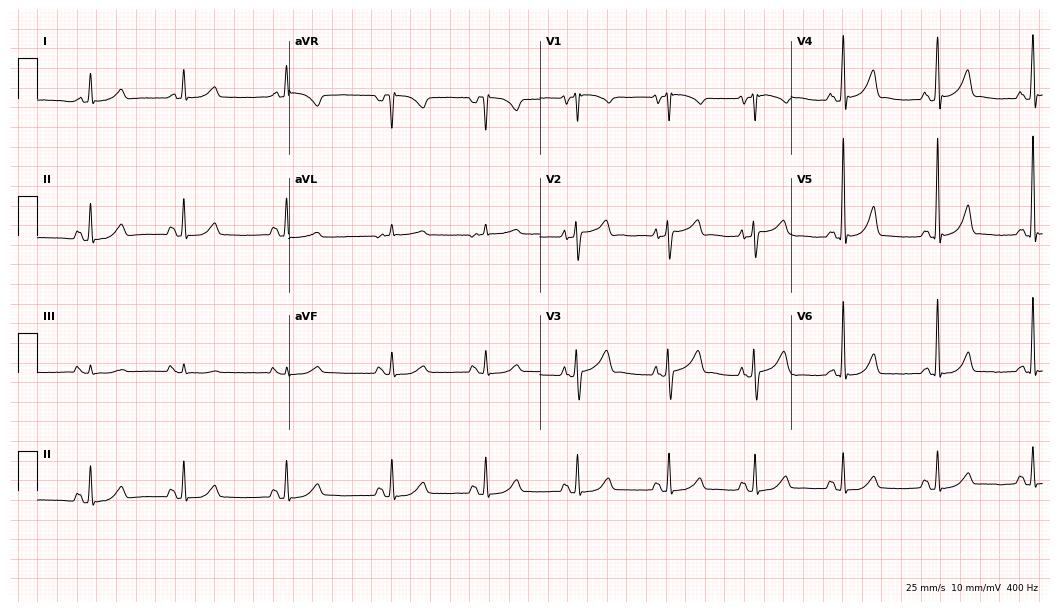
Standard 12-lead ECG recorded from a man, 66 years old. Read as a normal ECG.